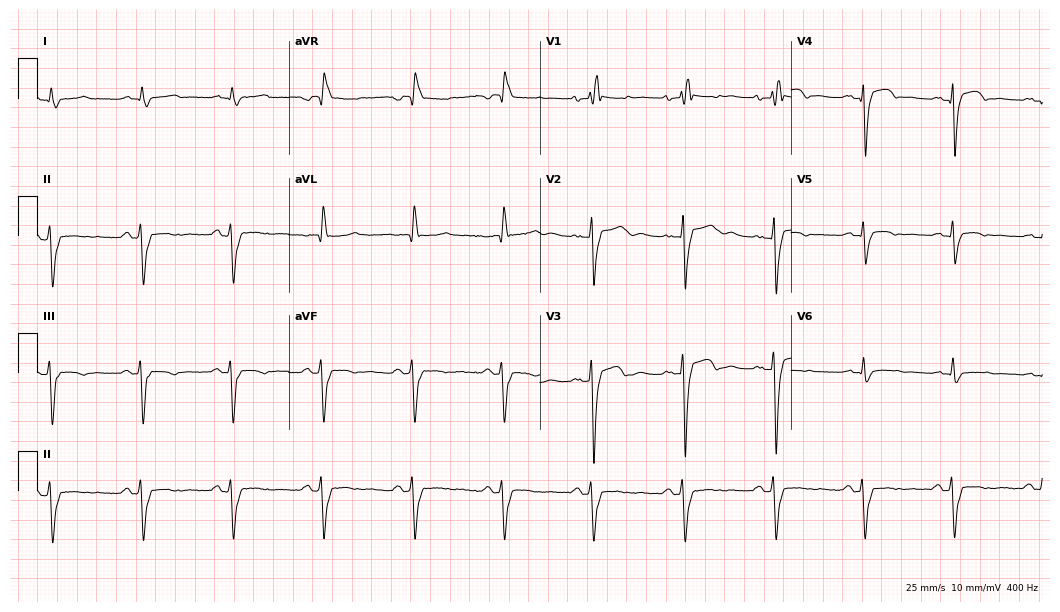
12-lead ECG from a male, 70 years old. Shows right bundle branch block.